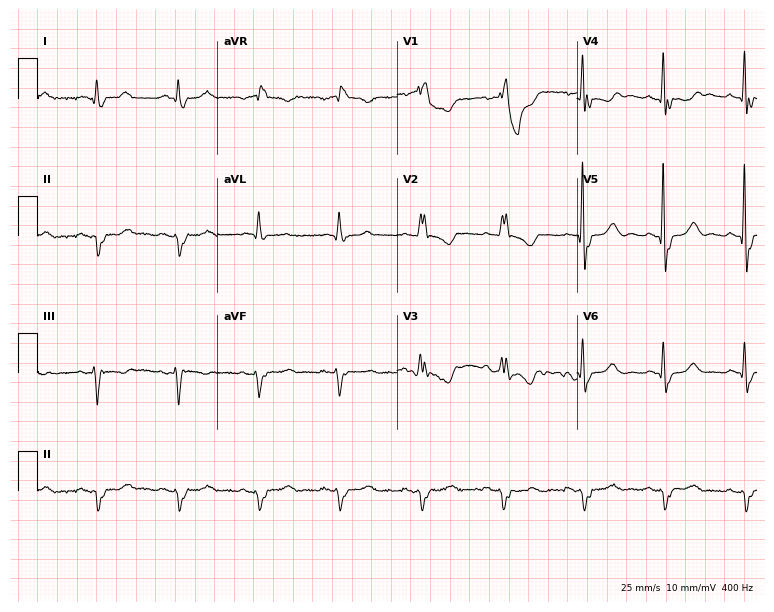
Standard 12-lead ECG recorded from a 74-year-old man. The tracing shows right bundle branch block (RBBB).